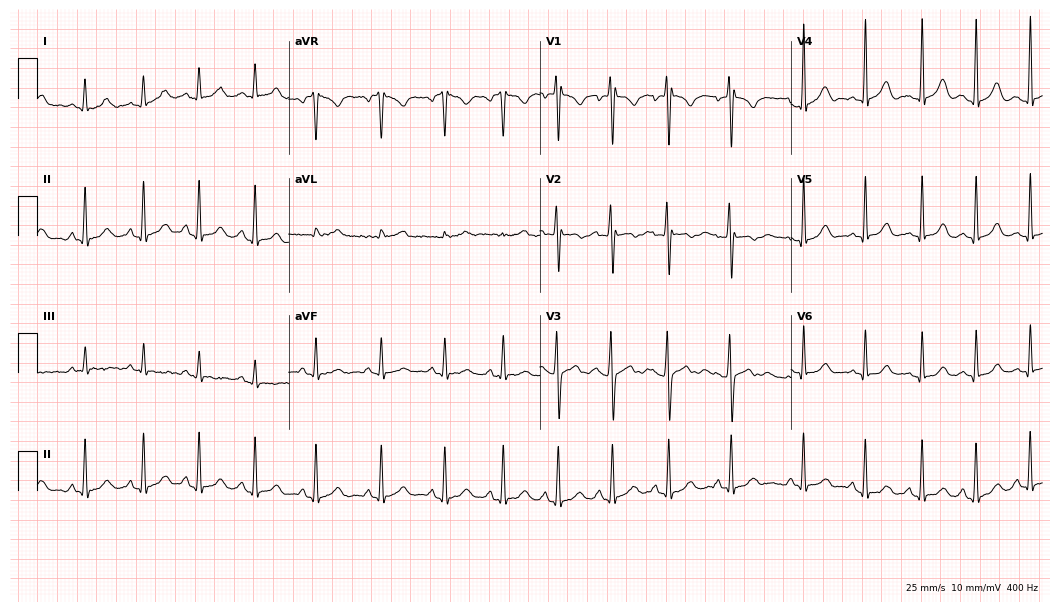
12-lead ECG from a female patient, 20 years old. Screened for six findings — first-degree AV block, right bundle branch block, left bundle branch block, sinus bradycardia, atrial fibrillation, sinus tachycardia — none is recorded. Only these six findings were labelled.